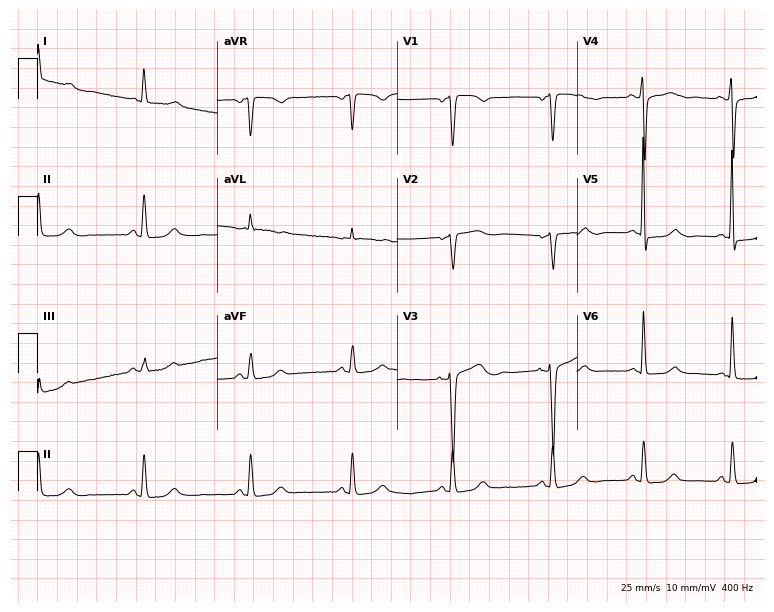
Standard 12-lead ECG recorded from a female patient, 72 years old. None of these six findings is recorded: first-degree AV block, right bundle branch block, left bundle branch block, sinus bradycardia, atrial fibrillation, sinus tachycardia. Other findings, if any, are not listed.